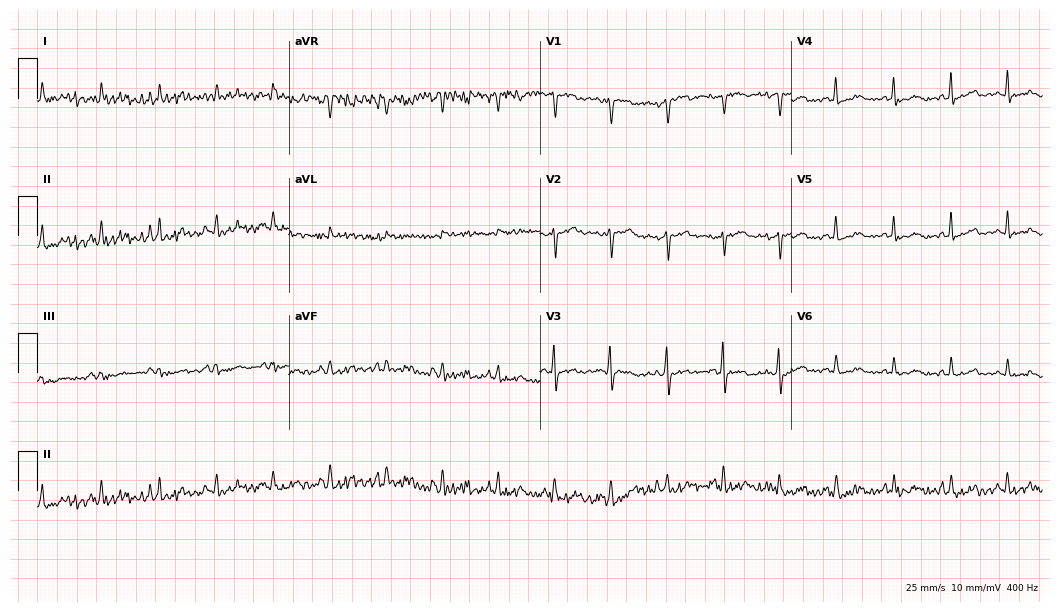
Resting 12-lead electrocardiogram. Patient: a 36-year-old woman. None of these six findings is recorded: first-degree AV block, right bundle branch block, left bundle branch block, sinus bradycardia, atrial fibrillation, sinus tachycardia. Only these six findings were labelled.